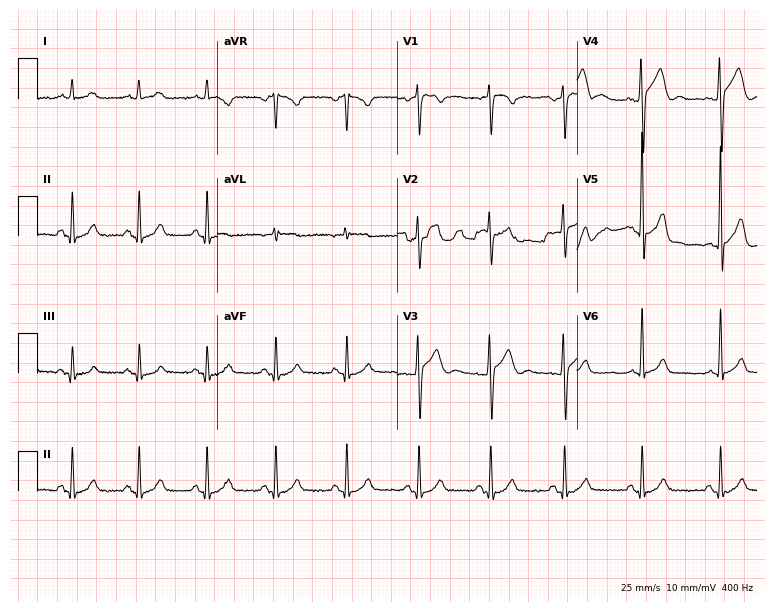
Resting 12-lead electrocardiogram (7.3-second recording at 400 Hz). Patient: a 40-year-old man. Read as a normal ECG.